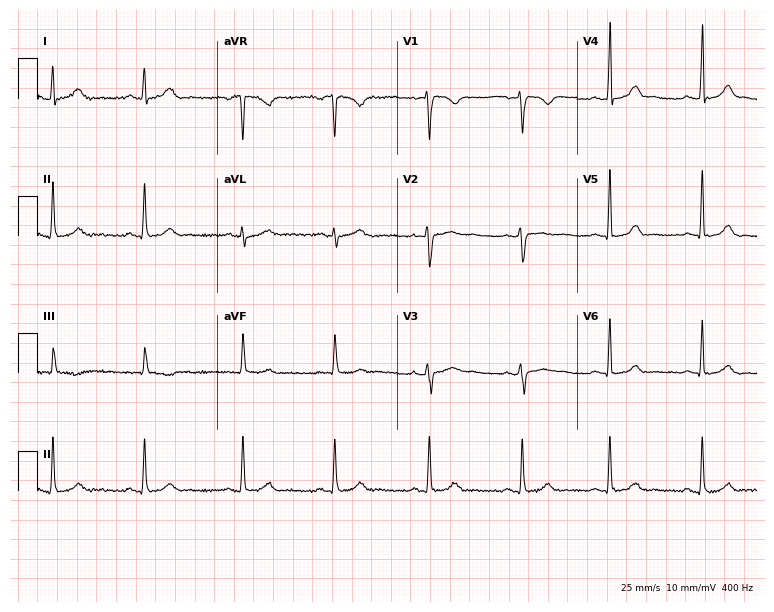
Resting 12-lead electrocardiogram (7.3-second recording at 400 Hz). Patient: a woman, 31 years old. None of these six findings is recorded: first-degree AV block, right bundle branch block, left bundle branch block, sinus bradycardia, atrial fibrillation, sinus tachycardia.